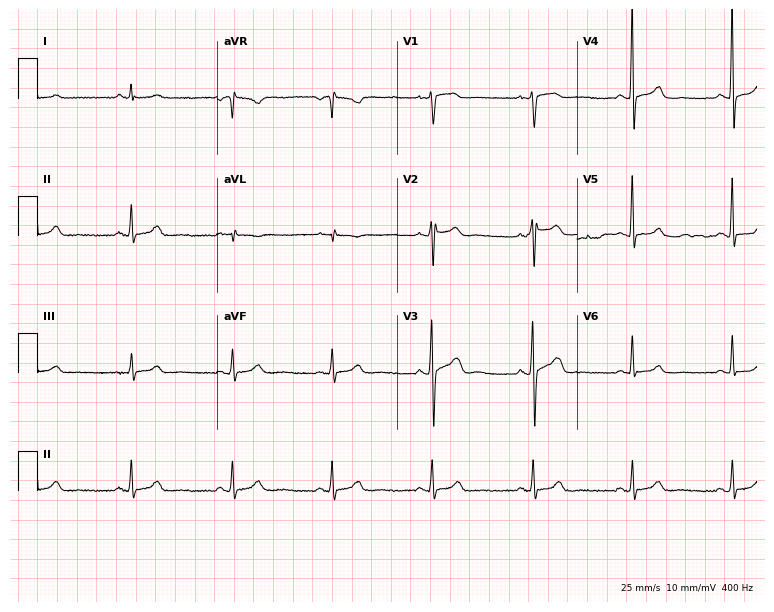
Resting 12-lead electrocardiogram. Patient: a 67-year-old male. Read as a normal ECG.